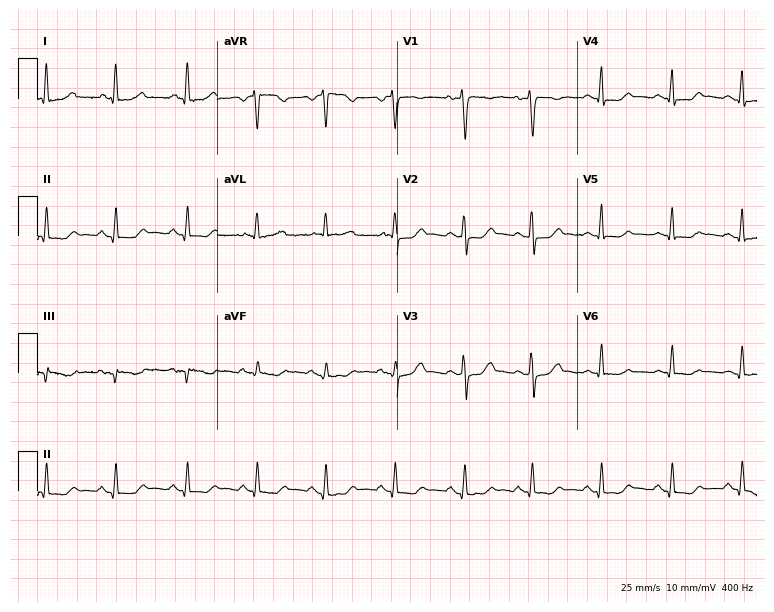
Electrocardiogram (7.3-second recording at 400 Hz), a 42-year-old woman. Overall reading on record: normal ECG.